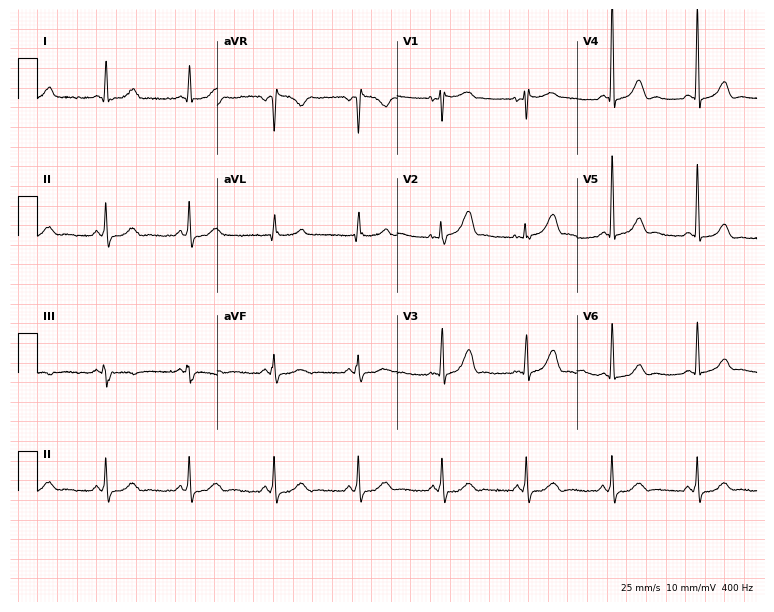
Standard 12-lead ECG recorded from a 75-year-old man. Read as a normal ECG.